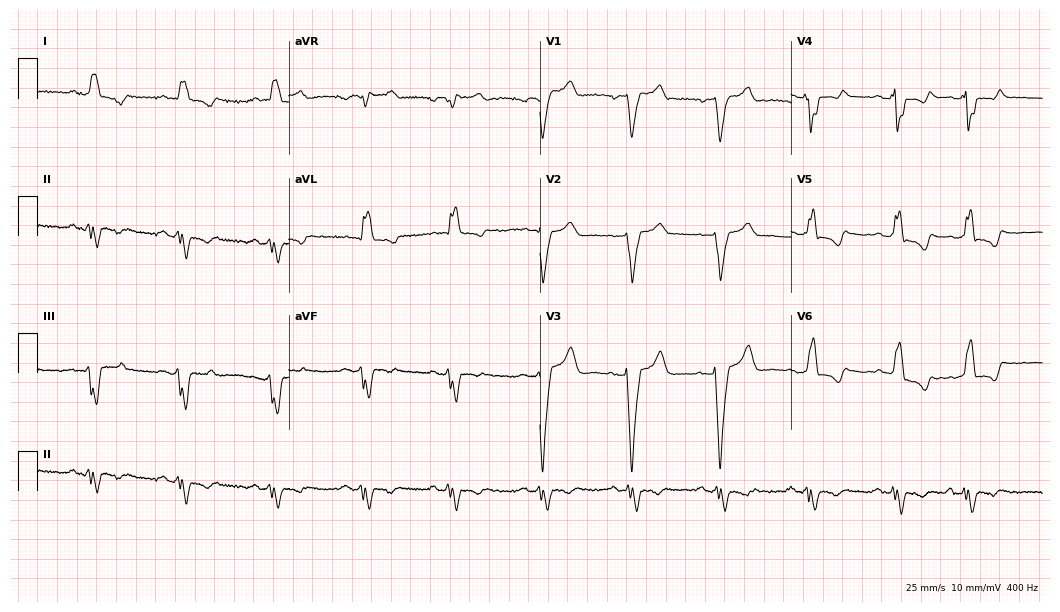
ECG (10.2-second recording at 400 Hz) — a 72-year-old female. Findings include left bundle branch block (LBBB).